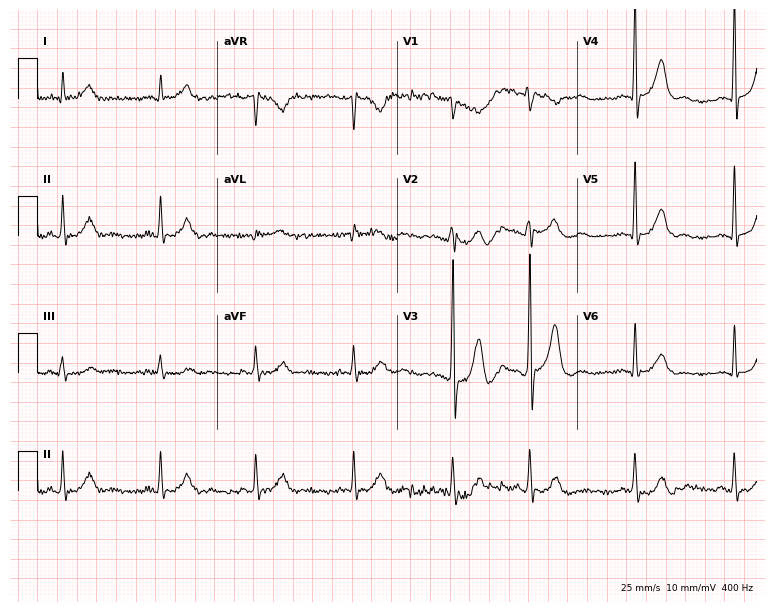
ECG — a 56-year-old male patient. Screened for six findings — first-degree AV block, right bundle branch block, left bundle branch block, sinus bradycardia, atrial fibrillation, sinus tachycardia — none is recorded.